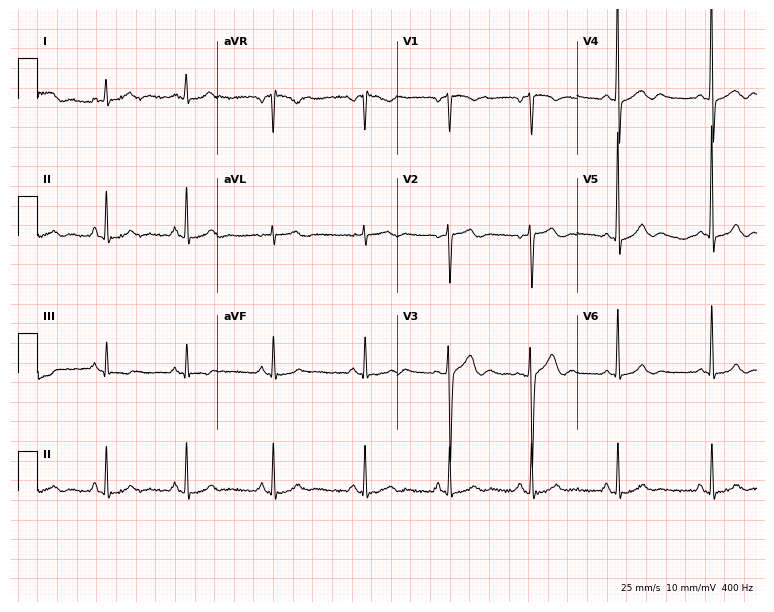
ECG — a male patient, 44 years old. Screened for six findings — first-degree AV block, right bundle branch block, left bundle branch block, sinus bradycardia, atrial fibrillation, sinus tachycardia — none is recorded.